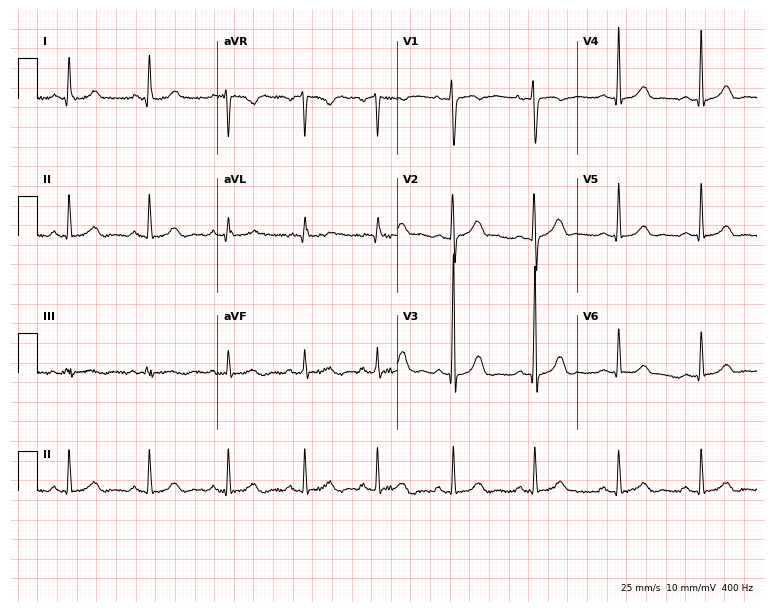
Resting 12-lead electrocardiogram. Patient: a female, 30 years old. Read as a normal ECG.